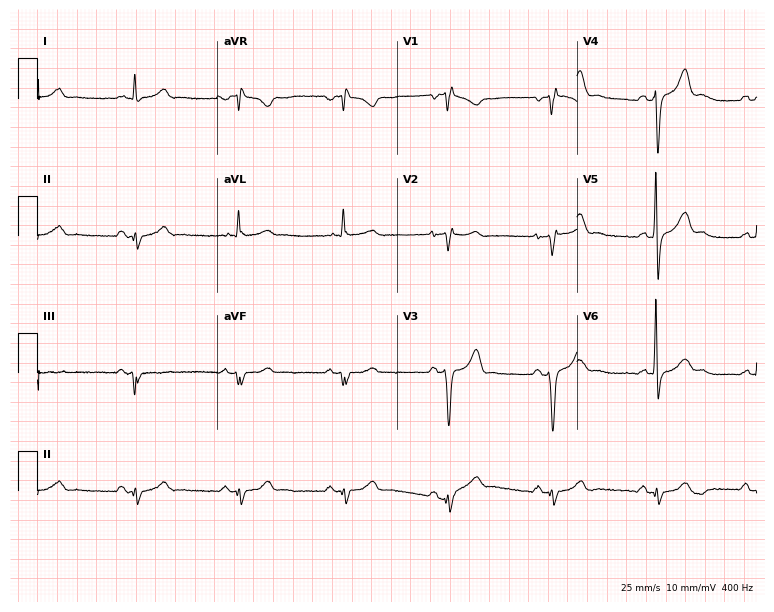
12-lead ECG from a man, 61 years old. No first-degree AV block, right bundle branch block (RBBB), left bundle branch block (LBBB), sinus bradycardia, atrial fibrillation (AF) or sinus tachycardia recorded for this tracing.